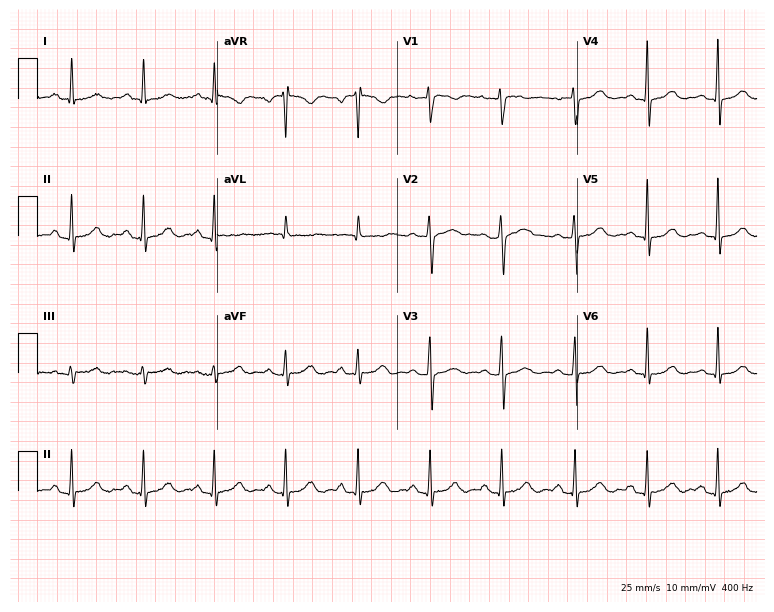
Standard 12-lead ECG recorded from a woman, 54 years old (7.3-second recording at 400 Hz). Read as a normal ECG.